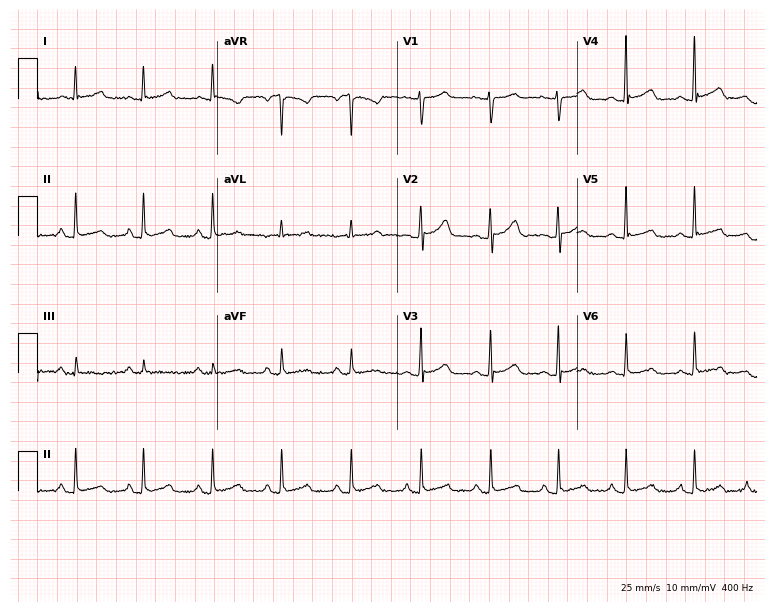
Standard 12-lead ECG recorded from a female patient, 35 years old. Read as a normal ECG.